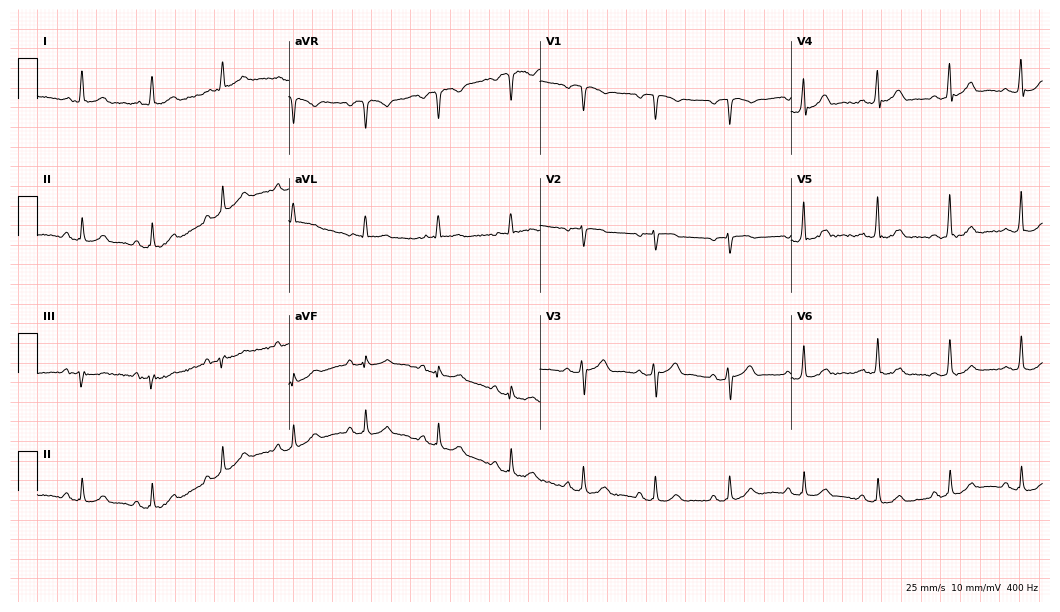
Electrocardiogram (10.2-second recording at 400 Hz), a male, 58 years old. Overall reading on record: normal ECG.